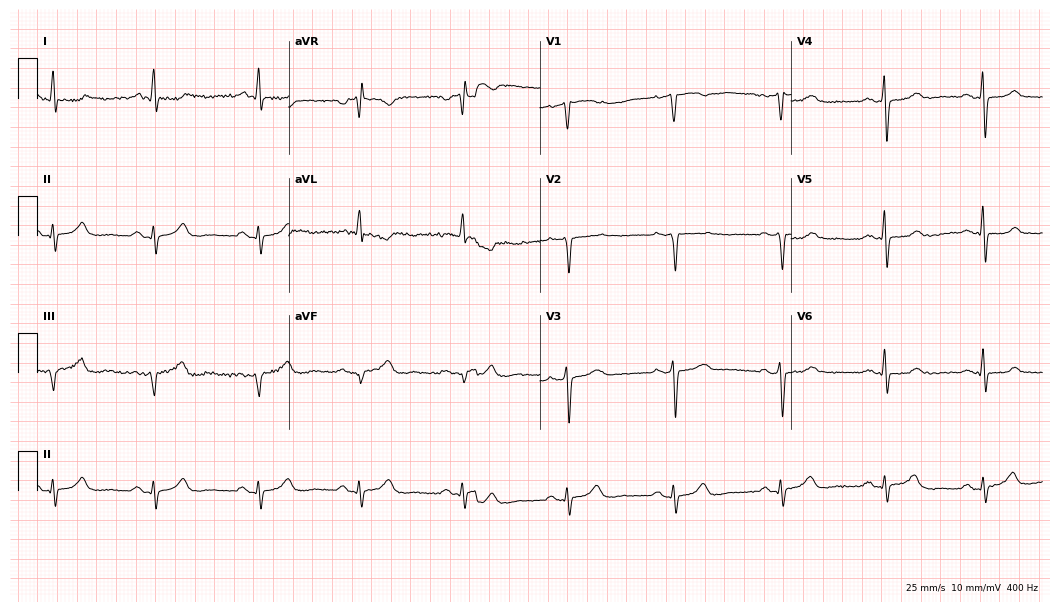
12-lead ECG from a male, 48 years old. Screened for six findings — first-degree AV block, right bundle branch block (RBBB), left bundle branch block (LBBB), sinus bradycardia, atrial fibrillation (AF), sinus tachycardia — none is recorded. Other findings, if any, are not listed.